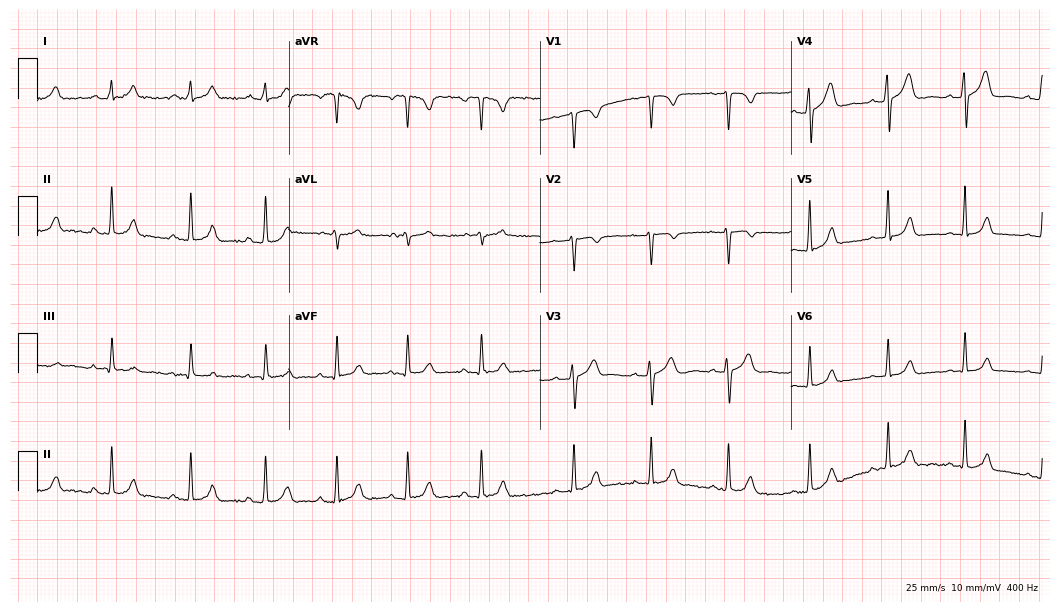
12-lead ECG from a female, 20 years old (10.2-second recording at 400 Hz). Recorded interpretation: within normal limits.